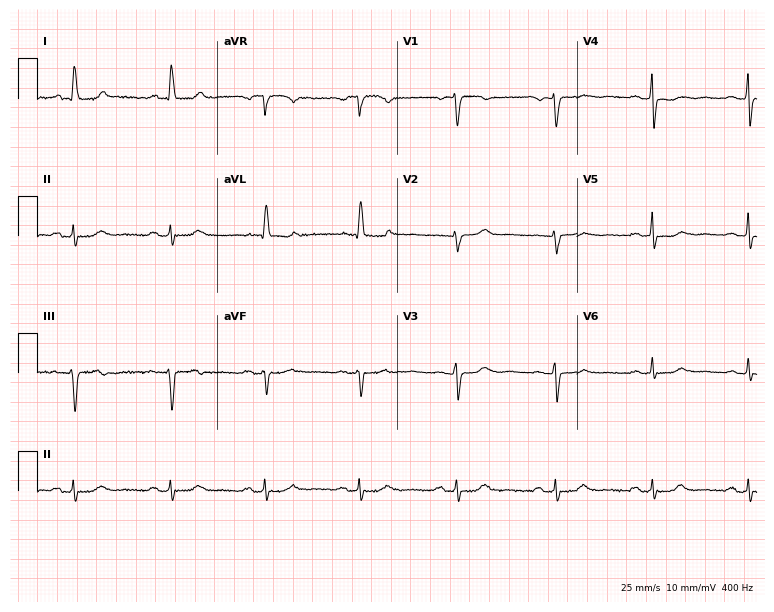
Resting 12-lead electrocardiogram (7.3-second recording at 400 Hz). Patient: a 76-year-old female. None of these six findings is recorded: first-degree AV block, right bundle branch block, left bundle branch block, sinus bradycardia, atrial fibrillation, sinus tachycardia.